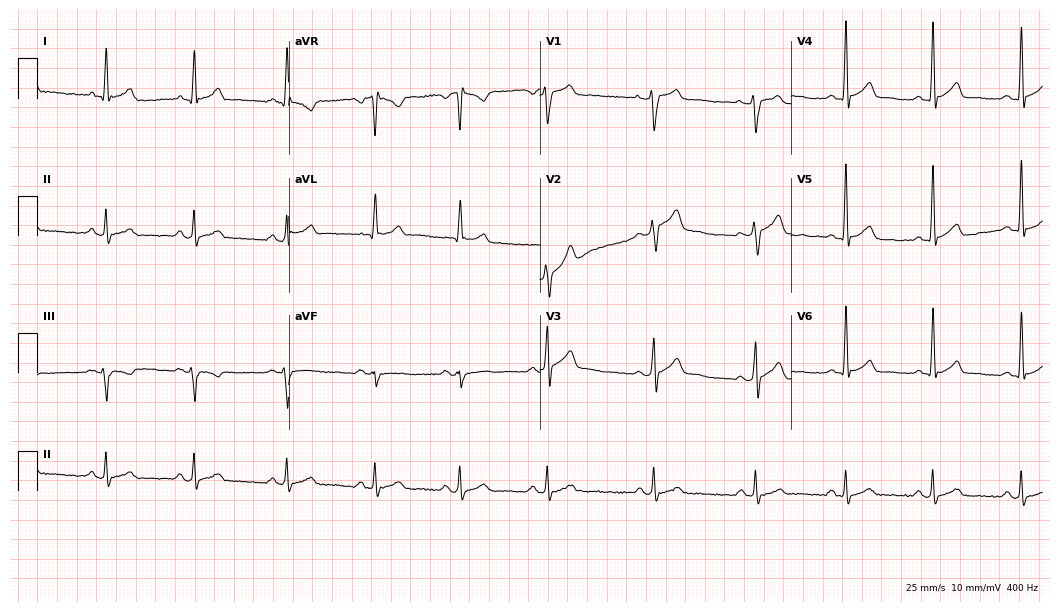
ECG (10.2-second recording at 400 Hz) — a man, 31 years old. Labelled as a normal ECG.